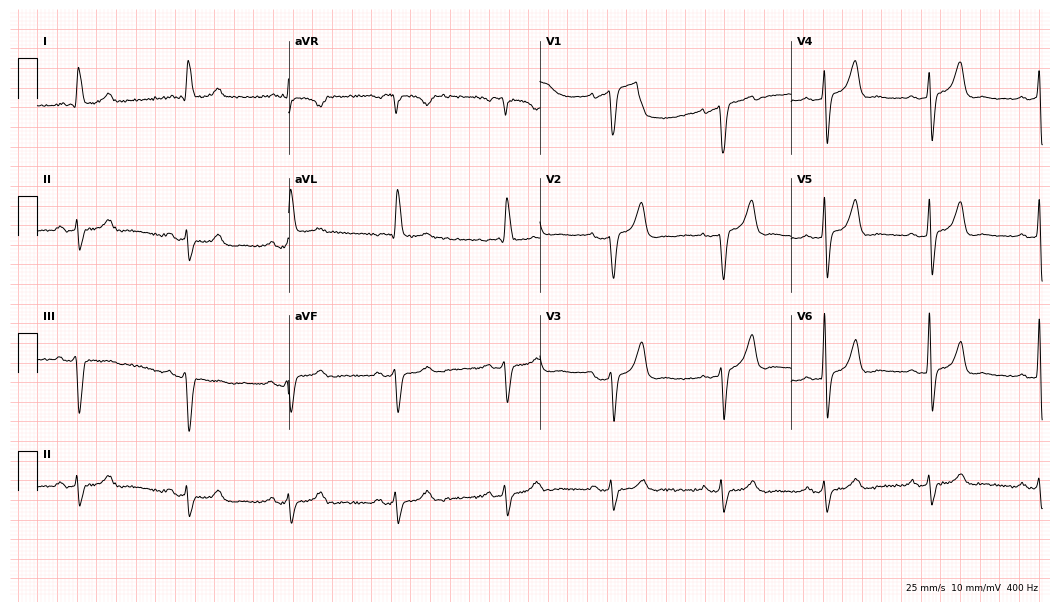
Resting 12-lead electrocardiogram. Patient: a man, 65 years old. None of these six findings is recorded: first-degree AV block, right bundle branch block (RBBB), left bundle branch block (LBBB), sinus bradycardia, atrial fibrillation (AF), sinus tachycardia. Findings outside these six are not listed.